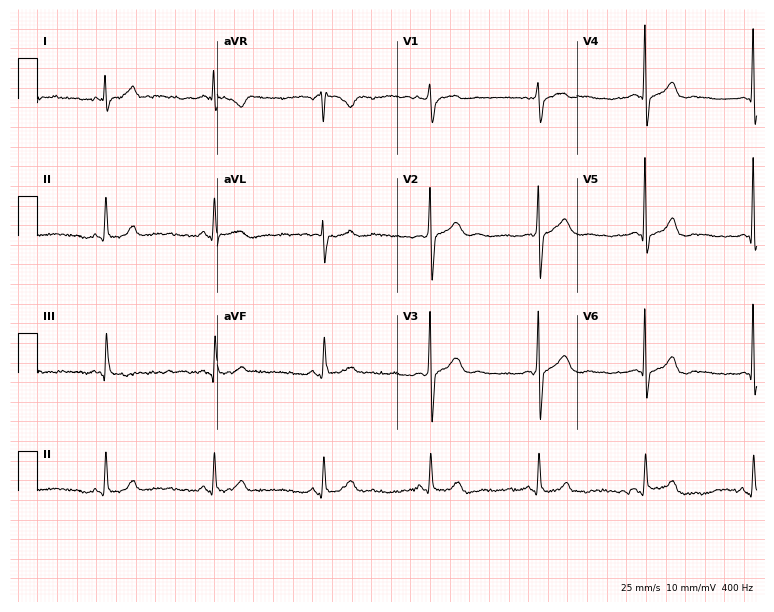
Electrocardiogram, a male, 32 years old. Overall reading on record: normal ECG.